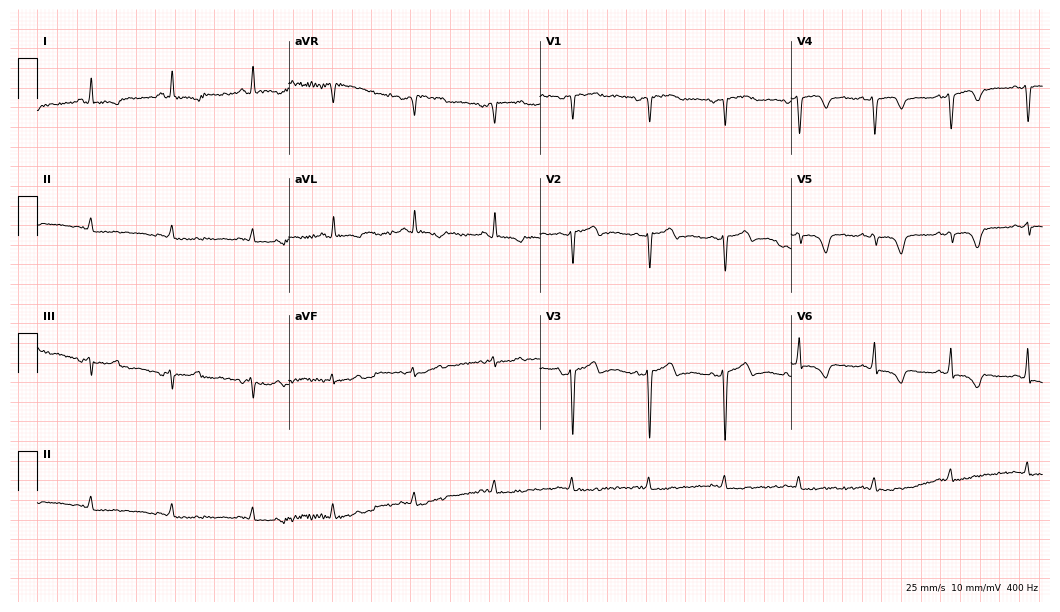
Standard 12-lead ECG recorded from a woman, 77 years old. None of these six findings is recorded: first-degree AV block, right bundle branch block, left bundle branch block, sinus bradycardia, atrial fibrillation, sinus tachycardia.